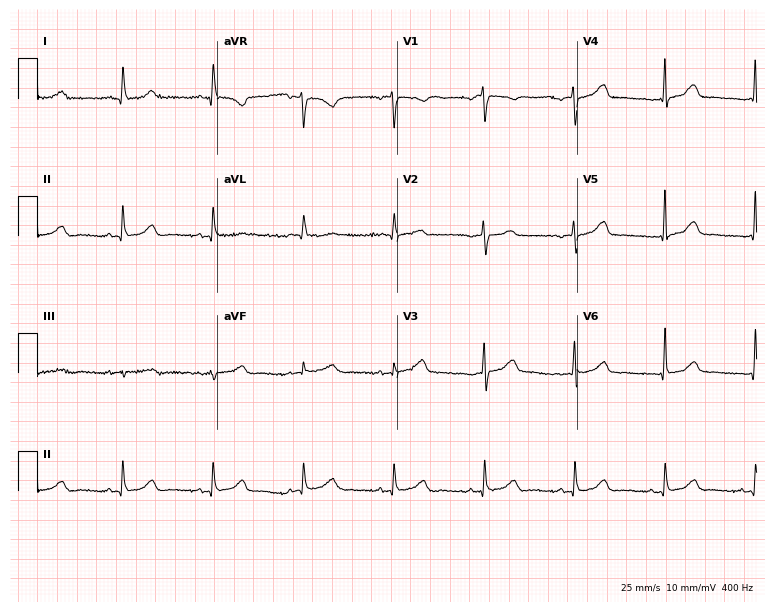
Standard 12-lead ECG recorded from a female, 66 years old. None of these six findings is recorded: first-degree AV block, right bundle branch block (RBBB), left bundle branch block (LBBB), sinus bradycardia, atrial fibrillation (AF), sinus tachycardia. Findings outside these six are not listed.